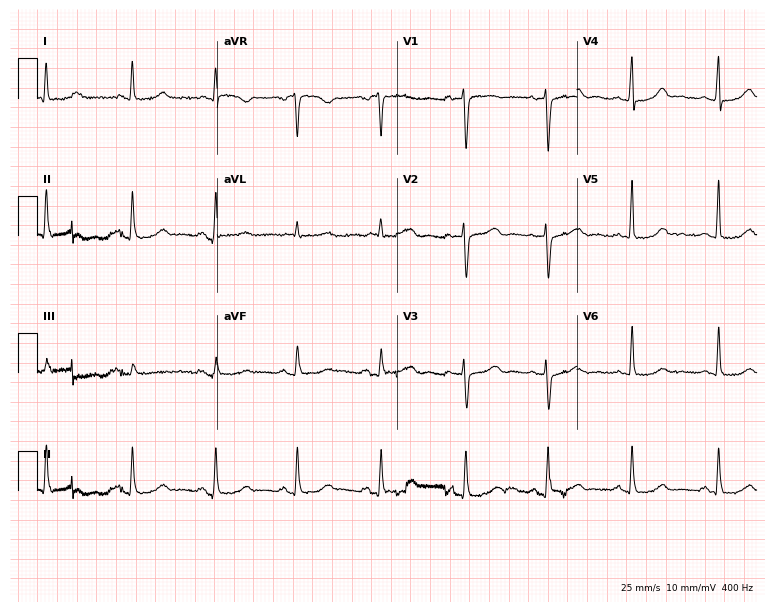
Resting 12-lead electrocardiogram. Patient: a 50-year-old woman. None of these six findings is recorded: first-degree AV block, right bundle branch block, left bundle branch block, sinus bradycardia, atrial fibrillation, sinus tachycardia.